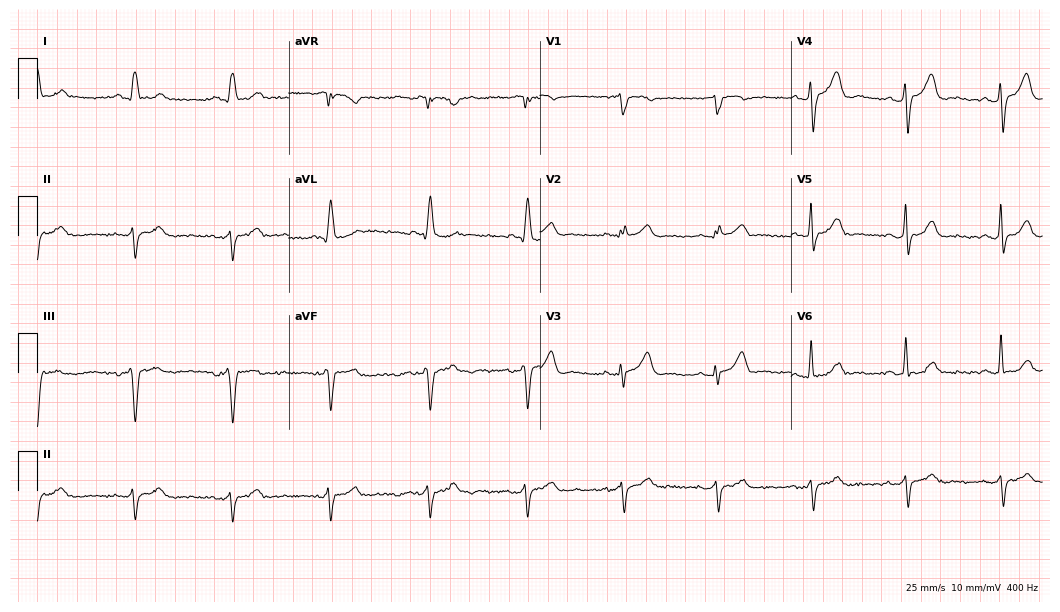
Electrocardiogram (10.2-second recording at 400 Hz), a man, 80 years old. Of the six screened findings (first-degree AV block, right bundle branch block (RBBB), left bundle branch block (LBBB), sinus bradycardia, atrial fibrillation (AF), sinus tachycardia), none is recorded.